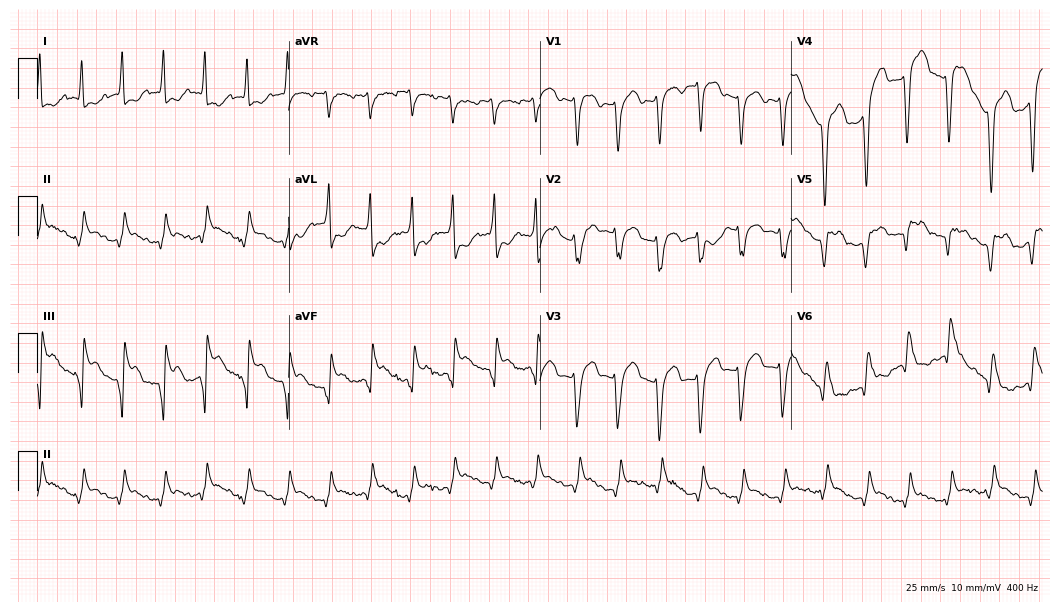
12-lead ECG from an 80-year-old man. Findings include left bundle branch block (LBBB), sinus tachycardia (a sinus rate of 100 beats per minute or more).